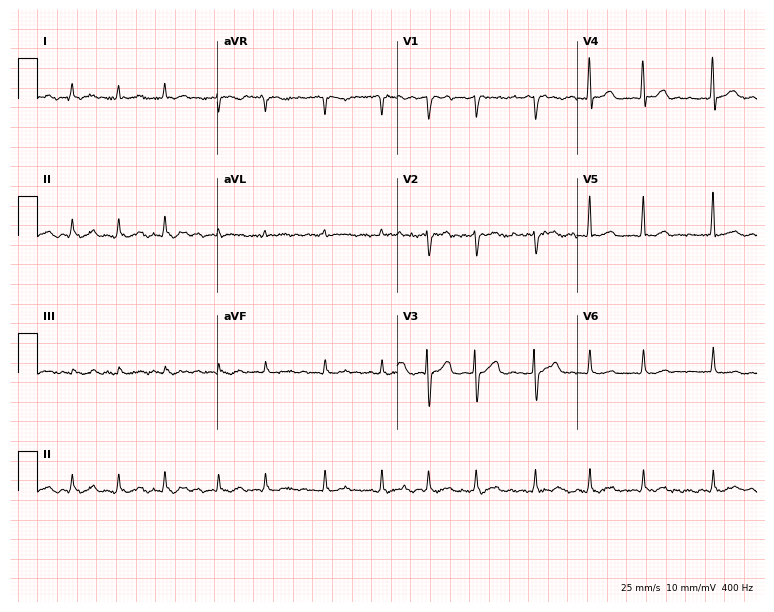
Standard 12-lead ECG recorded from a 71-year-old man (7.3-second recording at 400 Hz). The tracing shows atrial fibrillation (AF), sinus tachycardia (a sinus rate of 100 beats per minute or more).